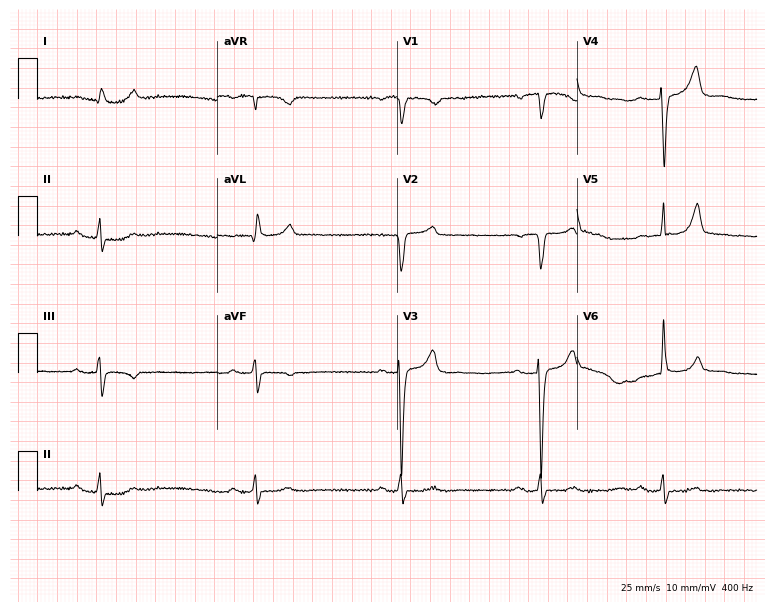
Standard 12-lead ECG recorded from a 64-year-old male (7.3-second recording at 400 Hz). None of these six findings is recorded: first-degree AV block, right bundle branch block, left bundle branch block, sinus bradycardia, atrial fibrillation, sinus tachycardia.